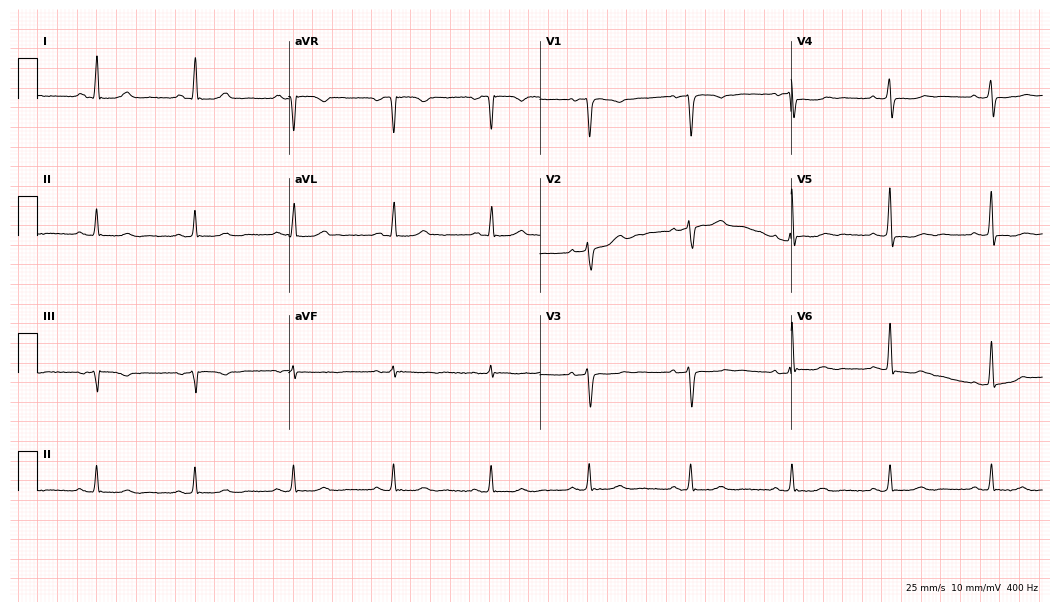
Resting 12-lead electrocardiogram (10.2-second recording at 400 Hz). Patient: a female, 65 years old. None of these six findings is recorded: first-degree AV block, right bundle branch block (RBBB), left bundle branch block (LBBB), sinus bradycardia, atrial fibrillation (AF), sinus tachycardia.